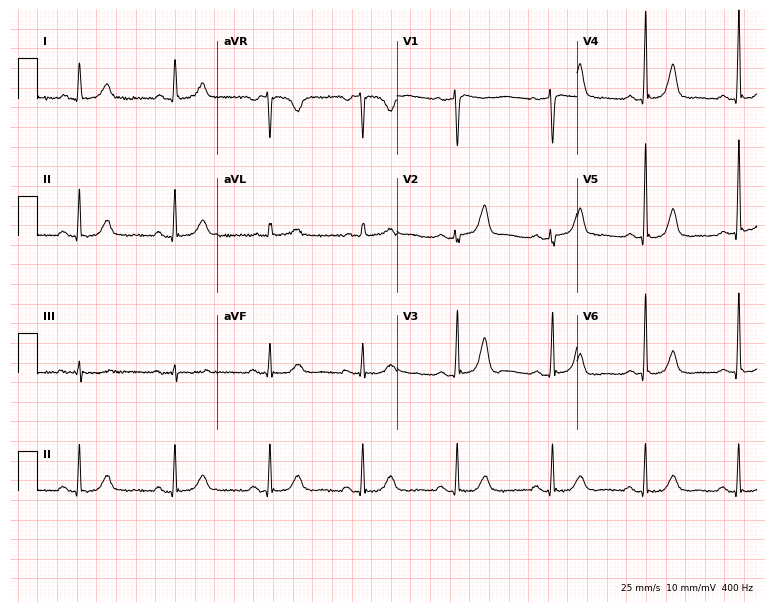
12-lead ECG from a female, 65 years old. Screened for six findings — first-degree AV block, right bundle branch block, left bundle branch block, sinus bradycardia, atrial fibrillation, sinus tachycardia — none is recorded. Findings outside these six are not listed.